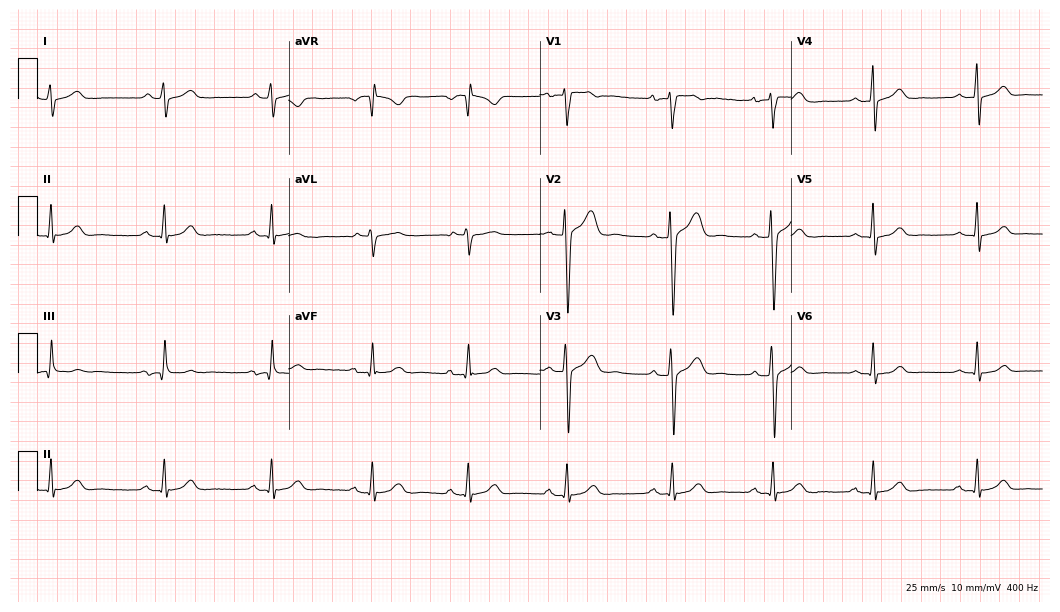
ECG — a male patient, 25 years old. Labelled as a normal ECG.